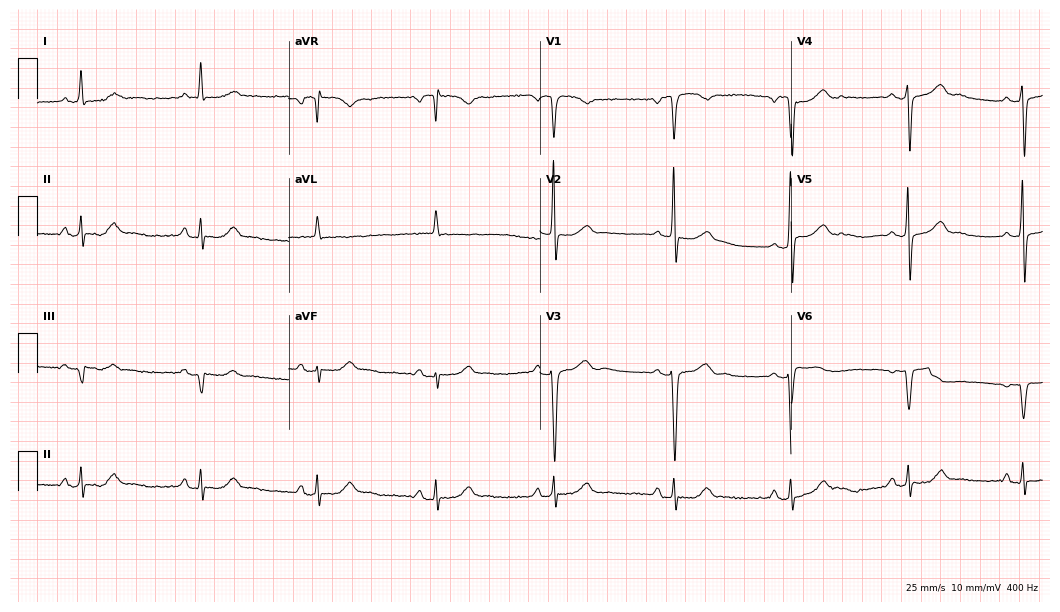
12-lead ECG from a woman, 78 years old. Shows sinus bradycardia (a sinus rate of 50 beats per minute or less).